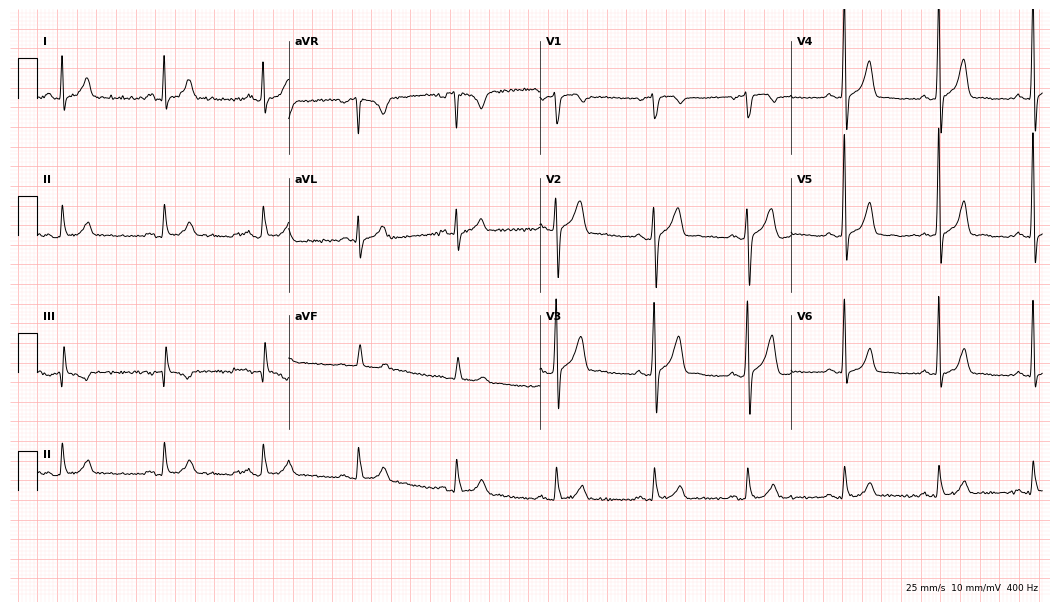
Standard 12-lead ECG recorded from a male, 45 years old. Read as a normal ECG.